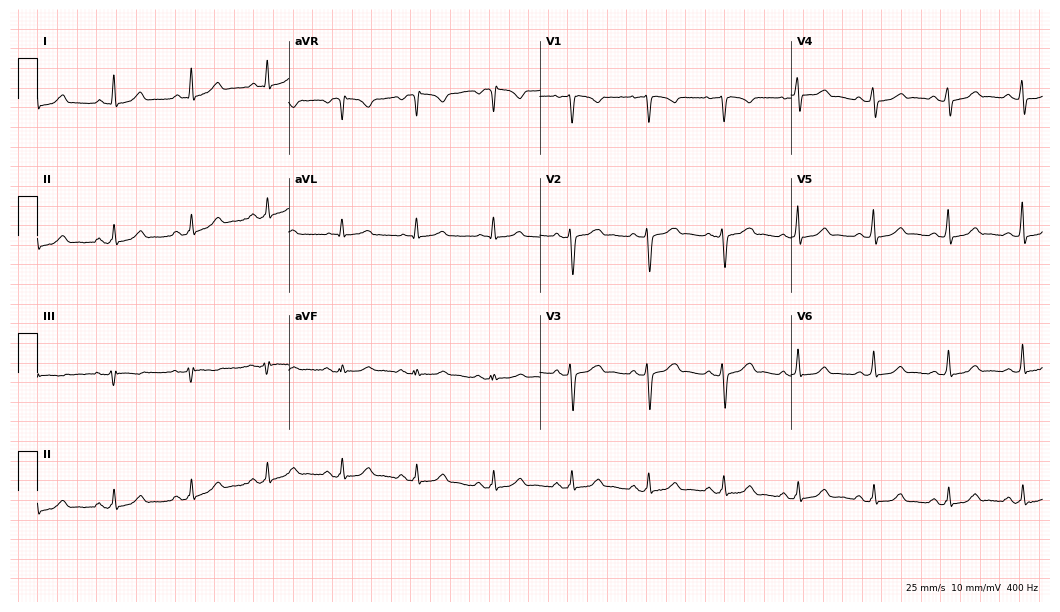
Electrocardiogram (10.2-second recording at 400 Hz), a 49-year-old woman. Of the six screened findings (first-degree AV block, right bundle branch block, left bundle branch block, sinus bradycardia, atrial fibrillation, sinus tachycardia), none is recorded. Findings outside these six are not listed.